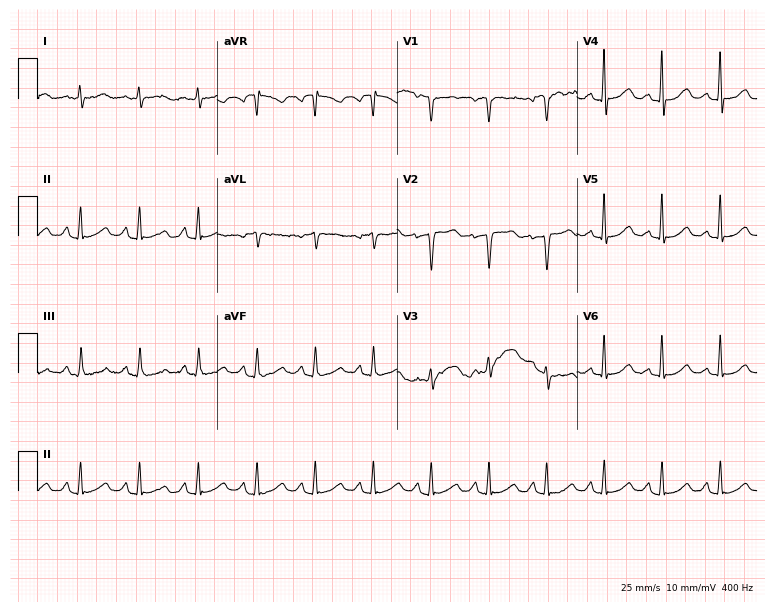
12-lead ECG from a woman, 48 years old. Shows sinus tachycardia (a sinus rate of 100 beats per minute or more).